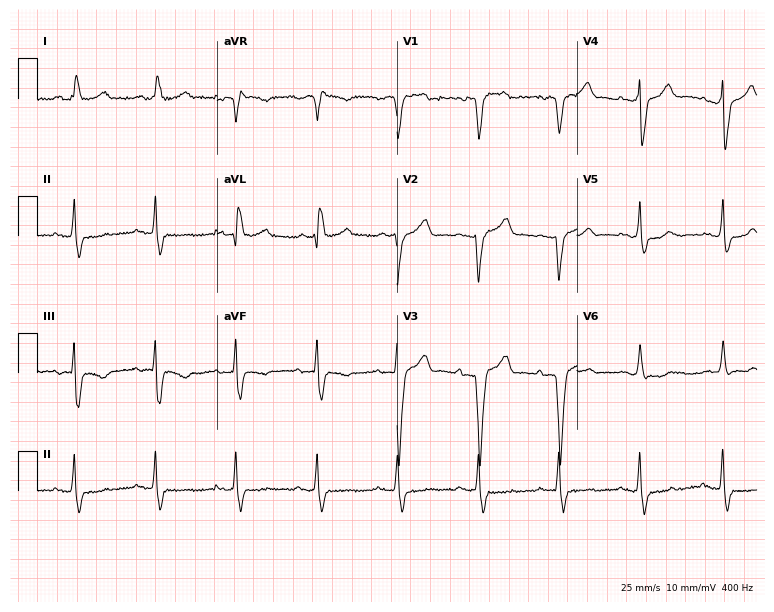
ECG — a 69-year-old male patient. Findings include left bundle branch block.